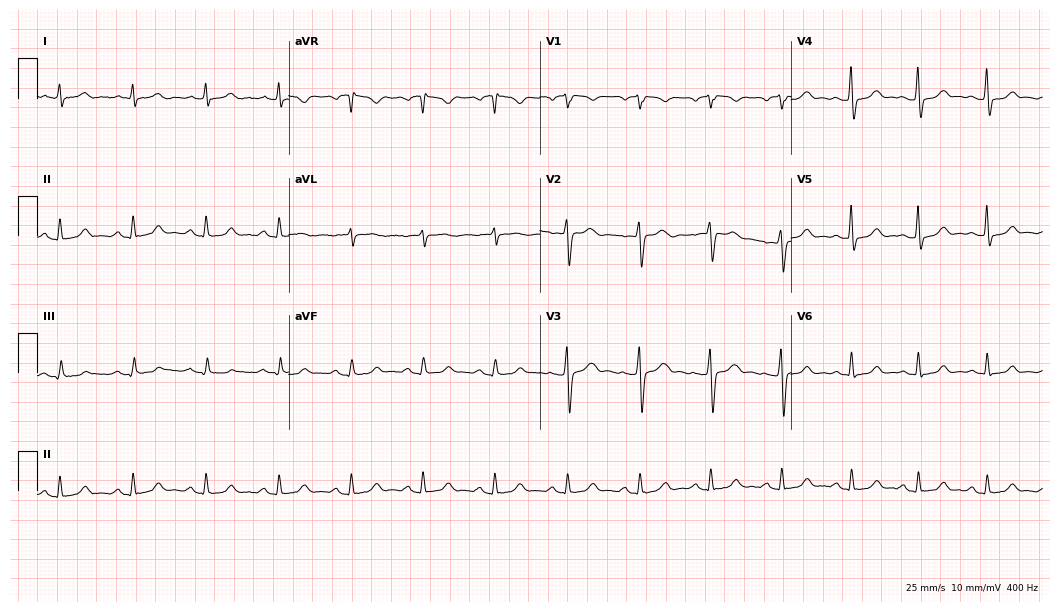
ECG — a 47-year-old male. Labelled as a normal ECG.